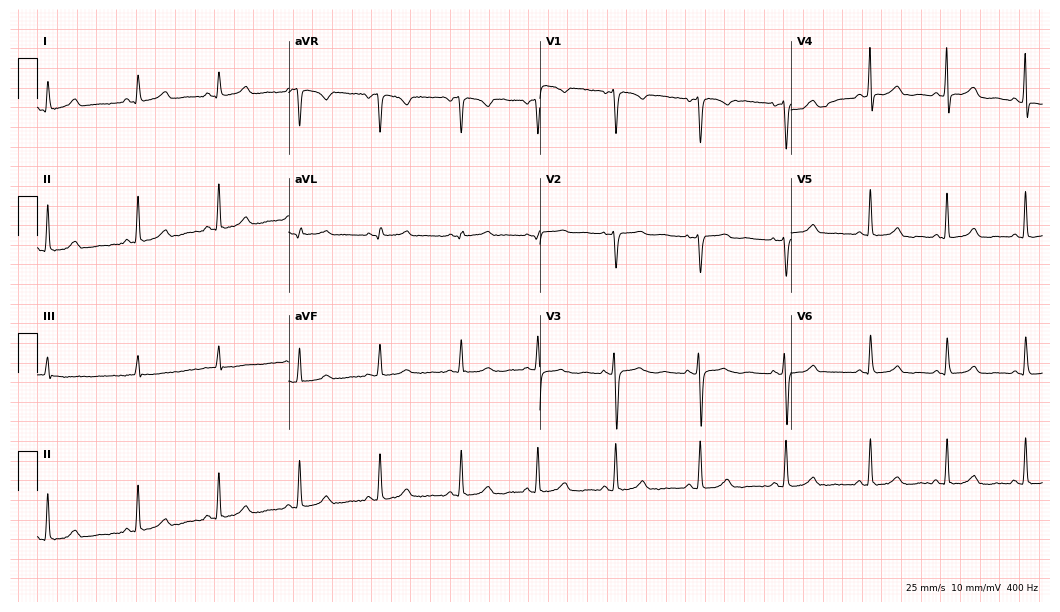
12-lead ECG from a woman, 45 years old (10.2-second recording at 400 Hz). Recorded interpretation: within normal limits.